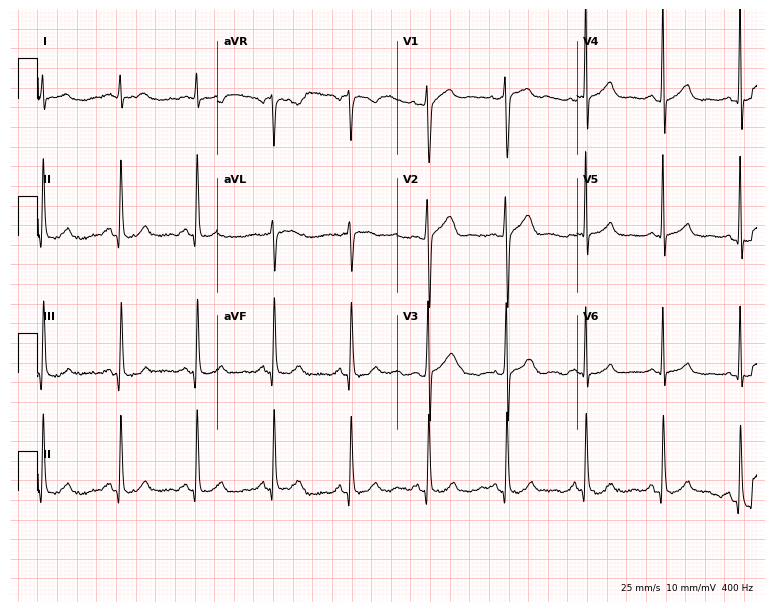
12-lead ECG (7.3-second recording at 400 Hz) from a male, 51 years old. Labelled as a normal ECG.